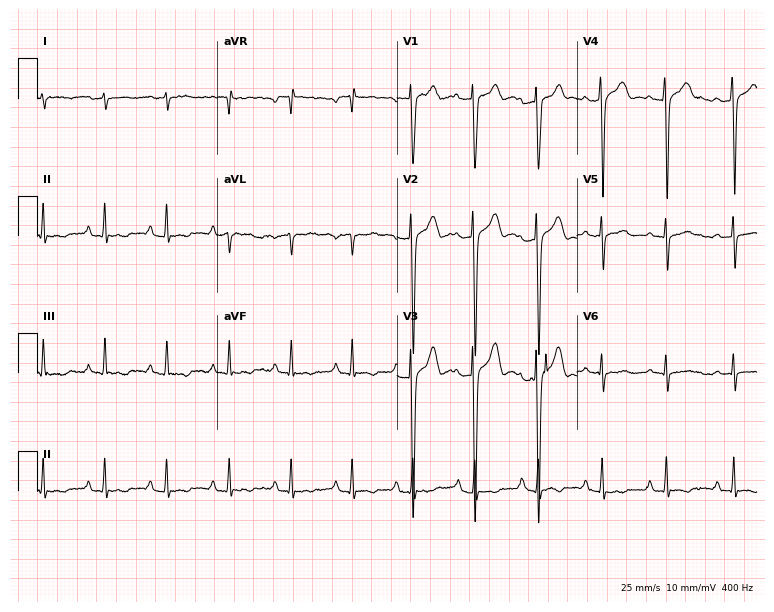
12-lead ECG from an 18-year-old male. Screened for six findings — first-degree AV block, right bundle branch block, left bundle branch block, sinus bradycardia, atrial fibrillation, sinus tachycardia — none is recorded.